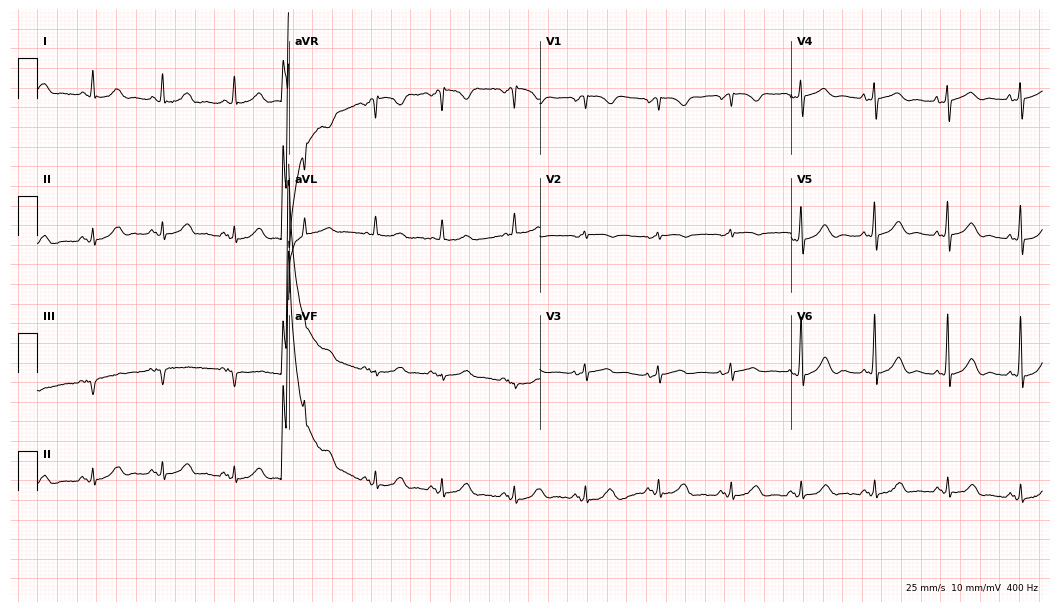
Standard 12-lead ECG recorded from a male patient, 45 years old (10.2-second recording at 400 Hz). None of these six findings is recorded: first-degree AV block, right bundle branch block (RBBB), left bundle branch block (LBBB), sinus bradycardia, atrial fibrillation (AF), sinus tachycardia. Only these six findings were labelled.